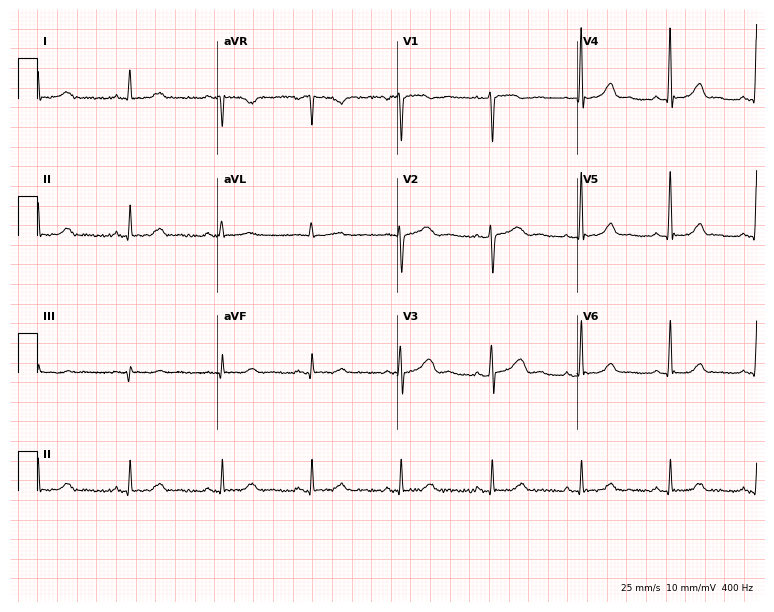
Electrocardiogram, a woman, 52 years old. Of the six screened findings (first-degree AV block, right bundle branch block, left bundle branch block, sinus bradycardia, atrial fibrillation, sinus tachycardia), none is recorded. Other findings, if any, are not listed.